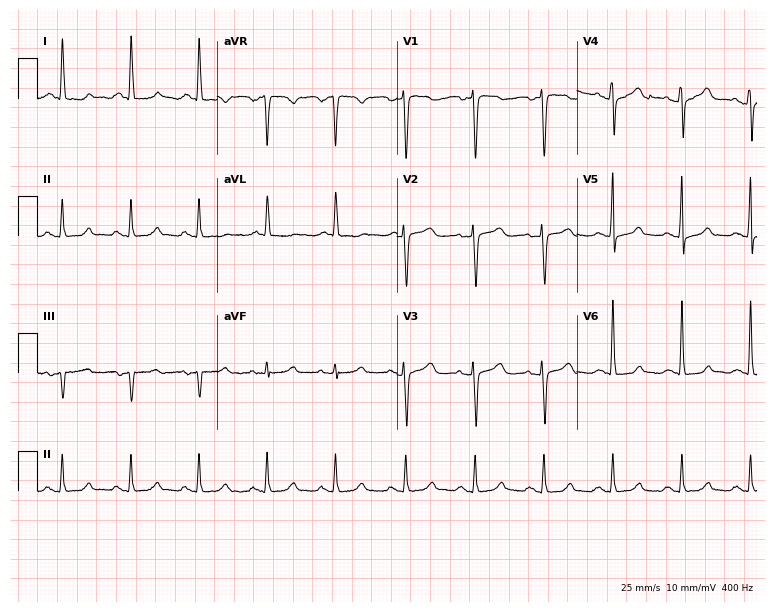
Resting 12-lead electrocardiogram. Patient: a female, 74 years old. Read as a normal ECG.